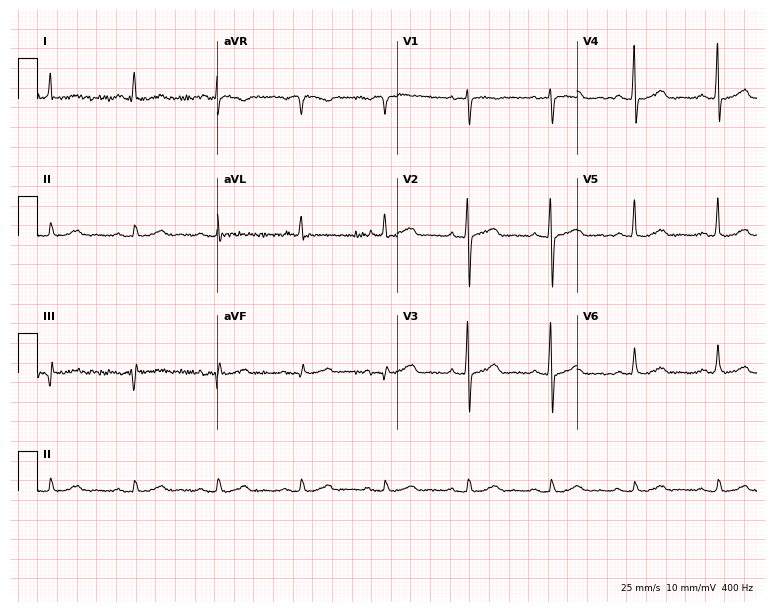
12-lead ECG (7.3-second recording at 400 Hz) from a 76-year-old man. Screened for six findings — first-degree AV block, right bundle branch block, left bundle branch block, sinus bradycardia, atrial fibrillation, sinus tachycardia — none is recorded.